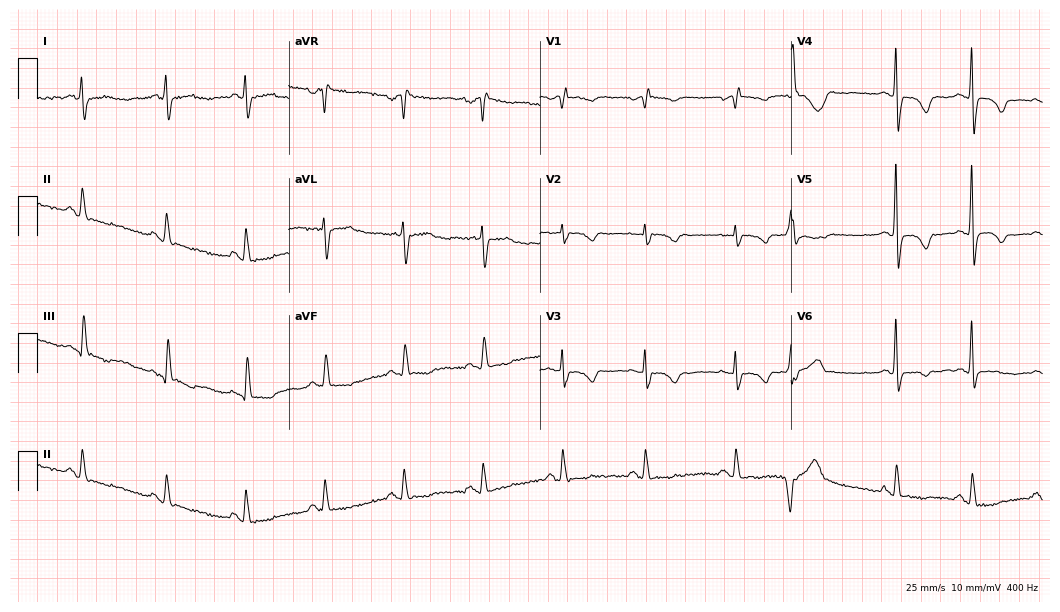
ECG — a female patient, 67 years old. Screened for six findings — first-degree AV block, right bundle branch block (RBBB), left bundle branch block (LBBB), sinus bradycardia, atrial fibrillation (AF), sinus tachycardia — none is recorded.